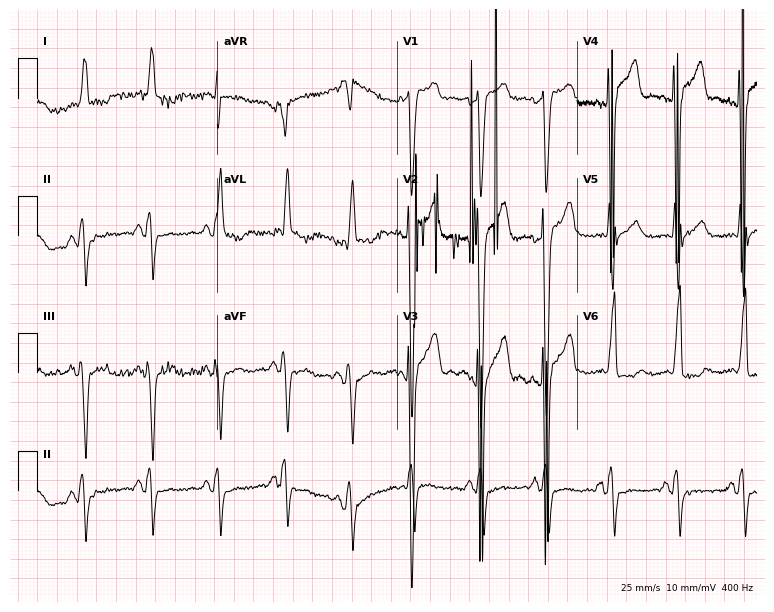
12-lead ECG from a 76-year-old man (7.3-second recording at 400 Hz). No first-degree AV block, right bundle branch block (RBBB), left bundle branch block (LBBB), sinus bradycardia, atrial fibrillation (AF) or sinus tachycardia recorded for this tracing. Only these six findings were labelled.